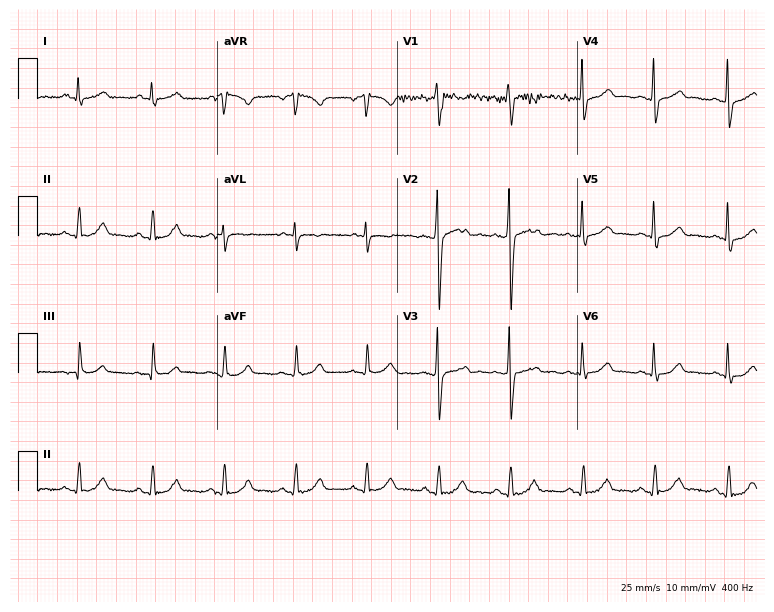
Resting 12-lead electrocardiogram (7.3-second recording at 400 Hz). Patient: a male, 46 years old. Read as a normal ECG.